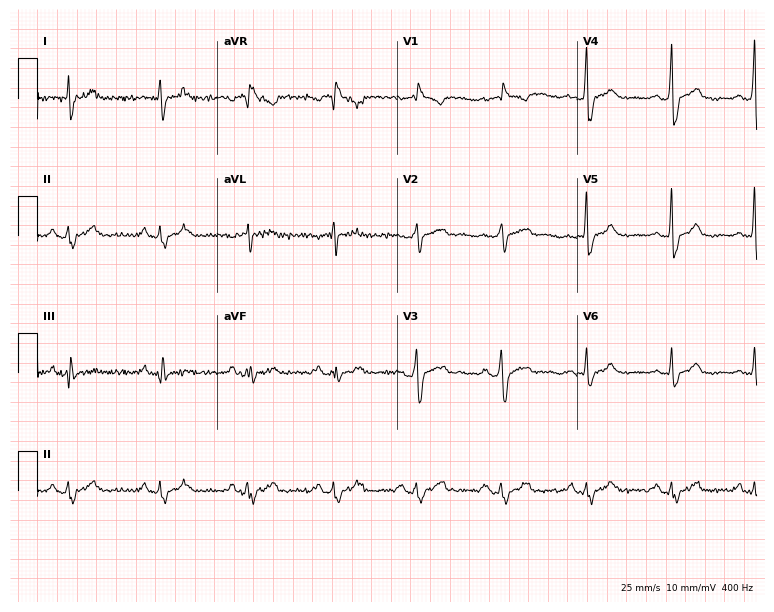
Resting 12-lead electrocardiogram. Patient: a male, 34 years old. The tracing shows right bundle branch block.